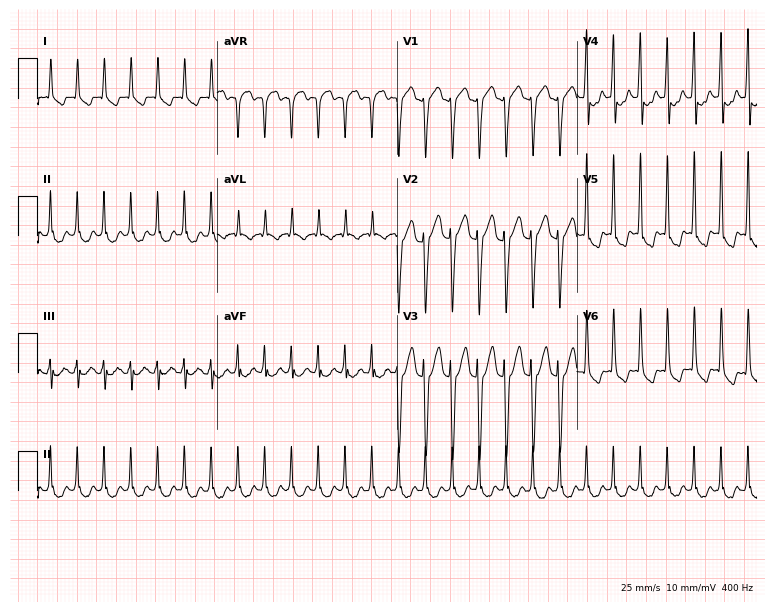
Electrocardiogram (7.3-second recording at 400 Hz), a 32-year-old male. Of the six screened findings (first-degree AV block, right bundle branch block, left bundle branch block, sinus bradycardia, atrial fibrillation, sinus tachycardia), none is recorded.